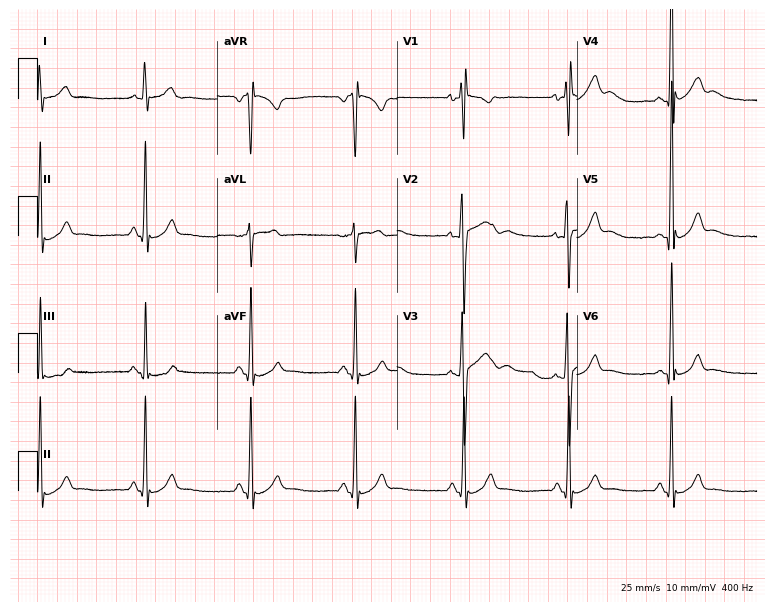
Standard 12-lead ECG recorded from a male, 17 years old (7.3-second recording at 400 Hz). Read as a normal ECG.